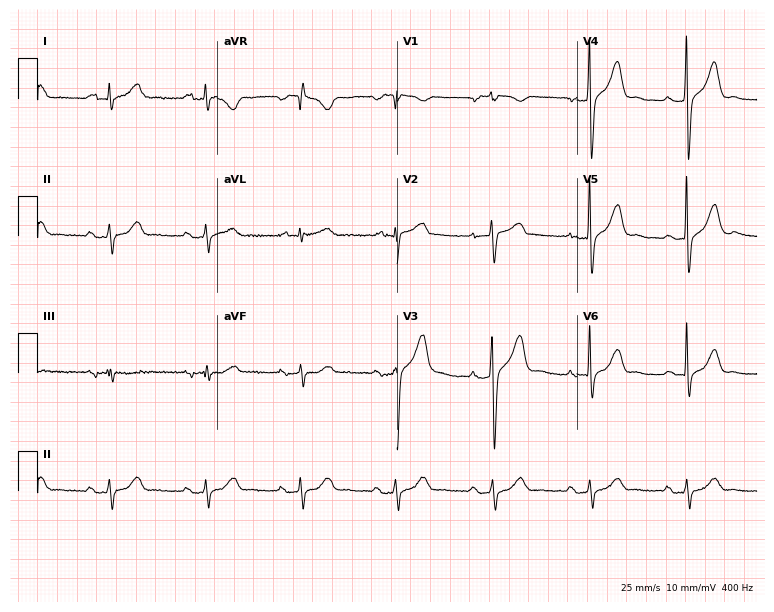
Resting 12-lead electrocardiogram (7.3-second recording at 400 Hz). Patient: a man, 69 years old. Read as a normal ECG.